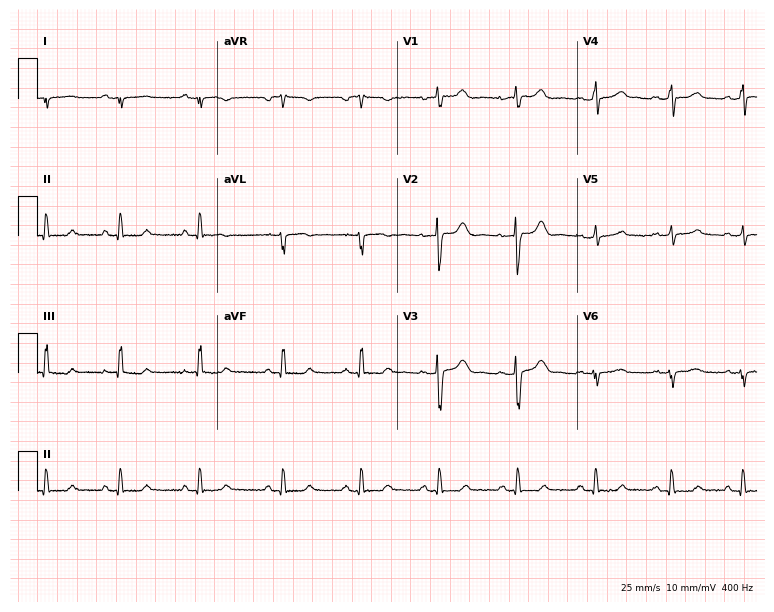
Electrocardiogram (7.3-second recording at 400 Hz), a female, 18 years old. Of the six screened findings (first-degree AV block, right bundle branch block (RBBB), left bundle branch block (LBBB), sinus bradycardia, atrial fibrillation (AF), sinus tachycardia), none is recorded. Findings outside these six are not listed.